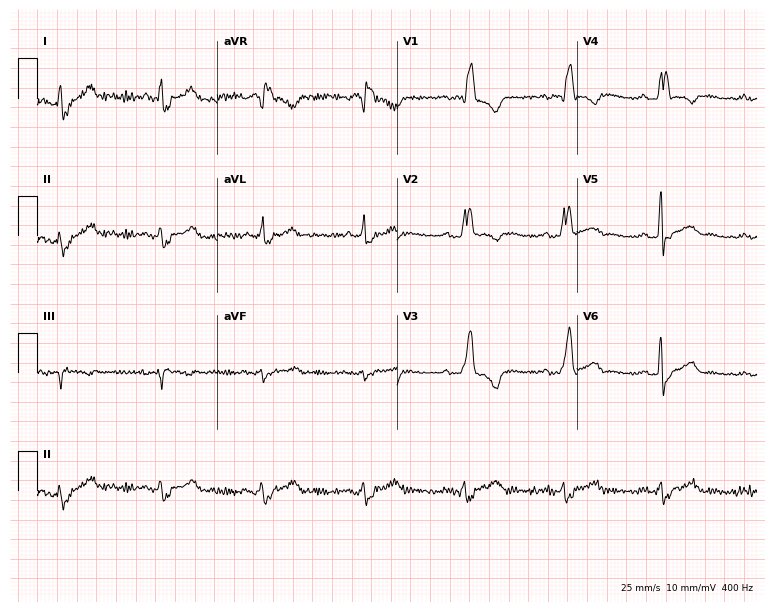
Electrocardiogram, a 58-year-old man. Of the six screened findings (first-degree AV block, right bundle branch block, left bundle branch block, sinus bradycardia, atrial fibrillation, sinus tachycardia), none is recorded.